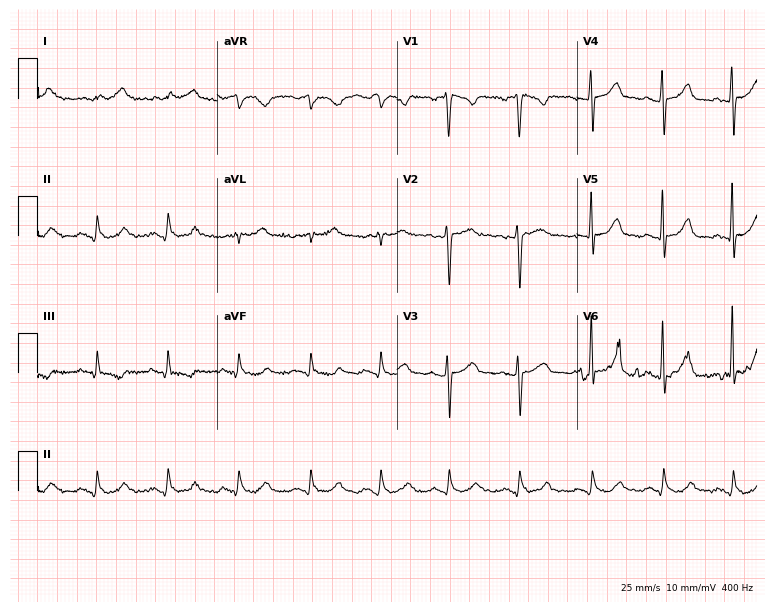
Resting 12-lead electrocardiogram (7.3-second recording at 400 Hz). Patient: a 45-year-old woman. Read as a normal ECG.